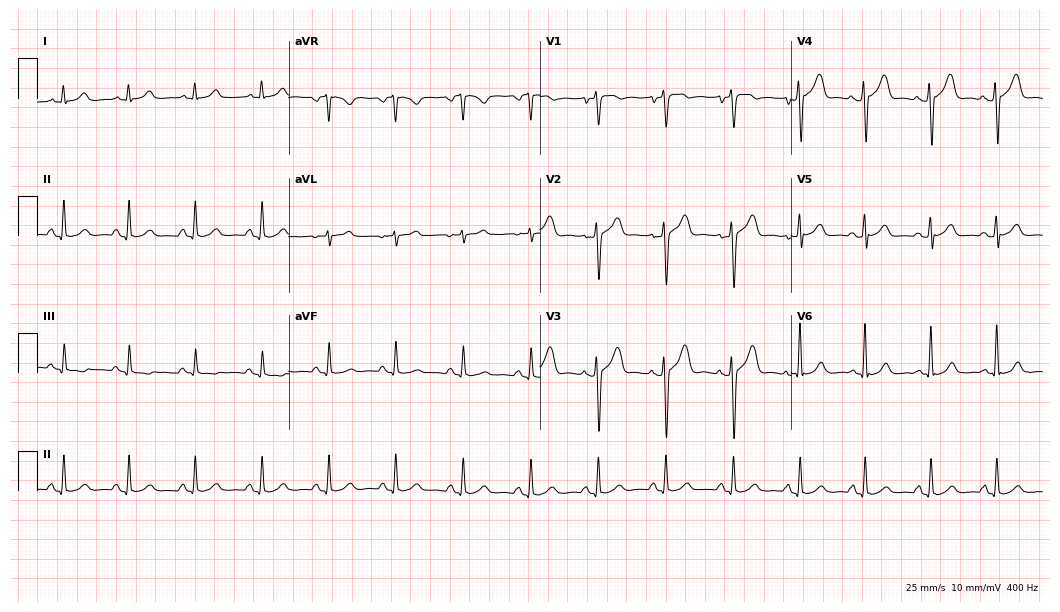
12-lead ECG from a male patient, 31 years old. Recorded interpretation: within normal limits.